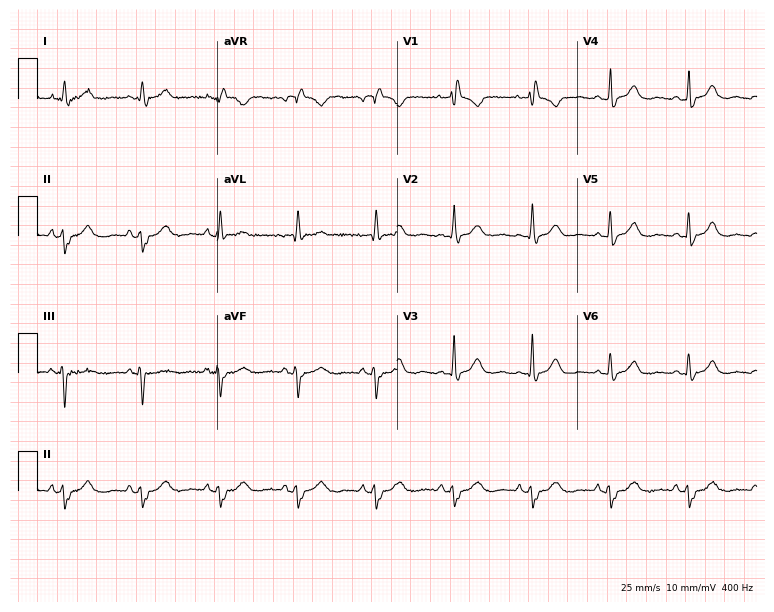
12-lead ECG (7.3-second recording at 400 Hz) from a 51-year-old woman. Findings include right bundle branch block.